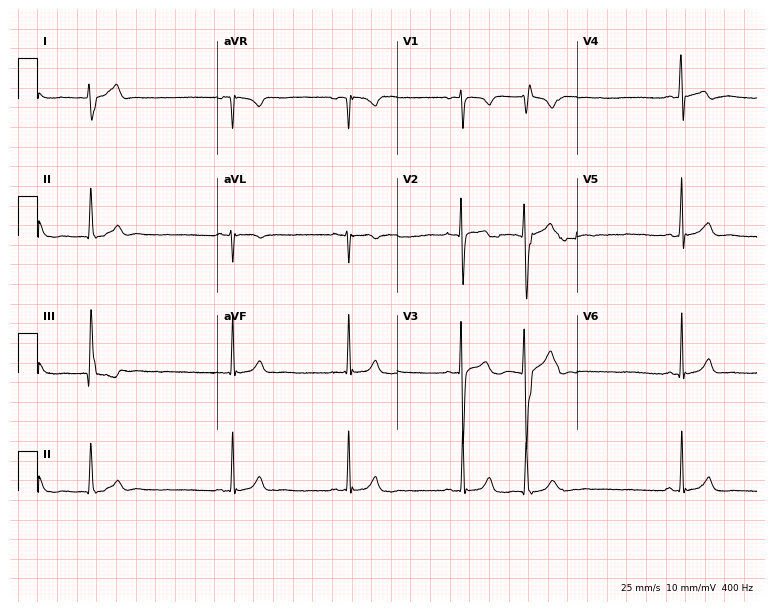
12-lead ECG from a woman, 21 years old. Screened for six findings — first-degree AV block, right bundle branch block, left bundle branch block, sinus bradycardia, atrial fibrillation, sinus tachycardia — none is recorded. Only these six findings were labelled.